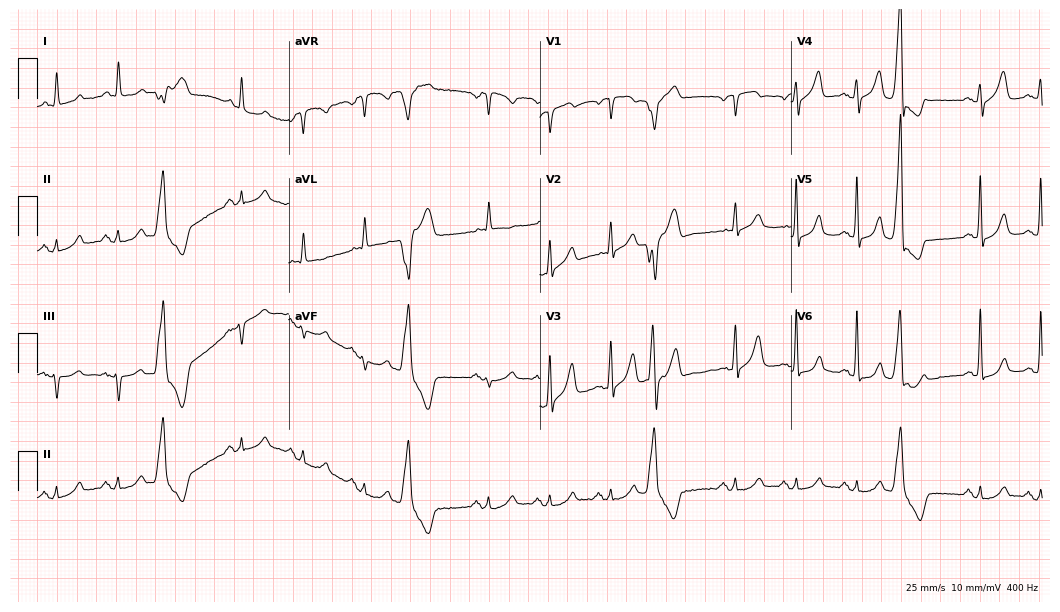
12-lead ECG from a female, 78 years old. No first-degree AV block, right bundle branch block, left bundle branch block, sinus bradycardia, atrial fibrillation or sinus tachycardia recorded for this tracing.